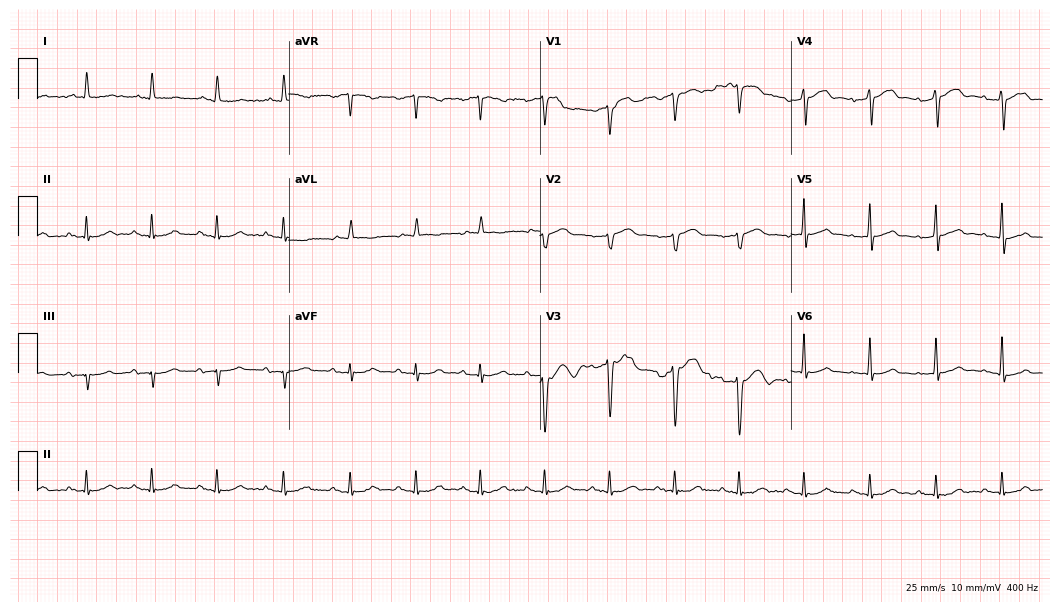
Standard 12-lead ECG recorded from a 65-year-old male. Read as a normal ECG.